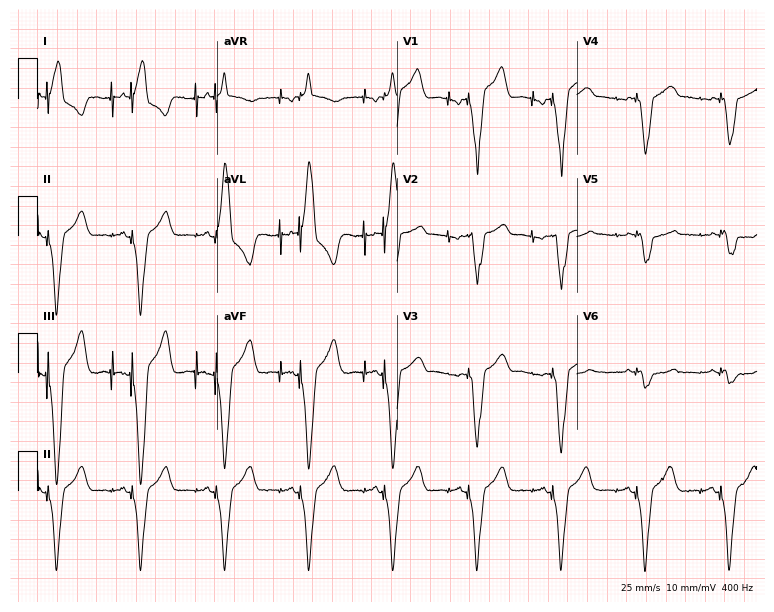
ECG — a man, 79 years old. Screened for six findings — first-degree AV block, right bundle branch block, left bundle branch block, sinus bradycardia, atrial fibrillation, sinus tachycardia — none is recorded.